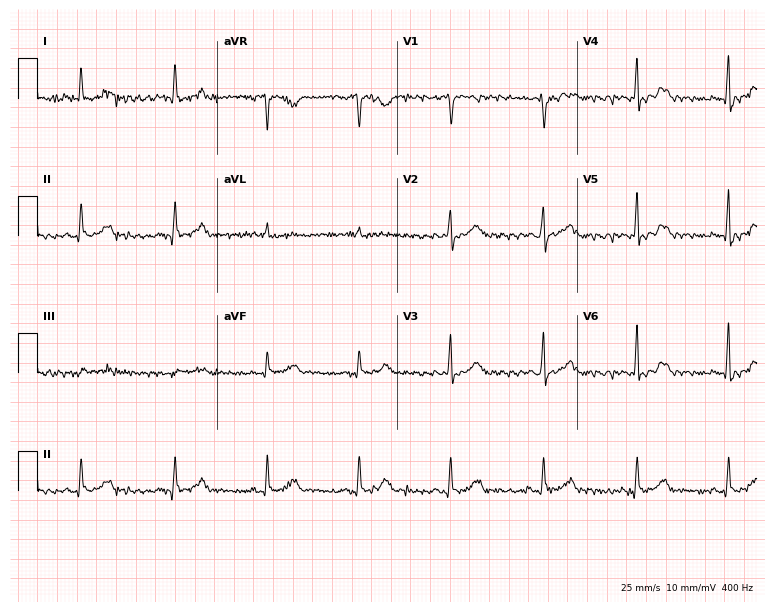
ECG (7.3-second recording at 400 Hz) — a 51-year-old woman. Labelled as a normal ECG.